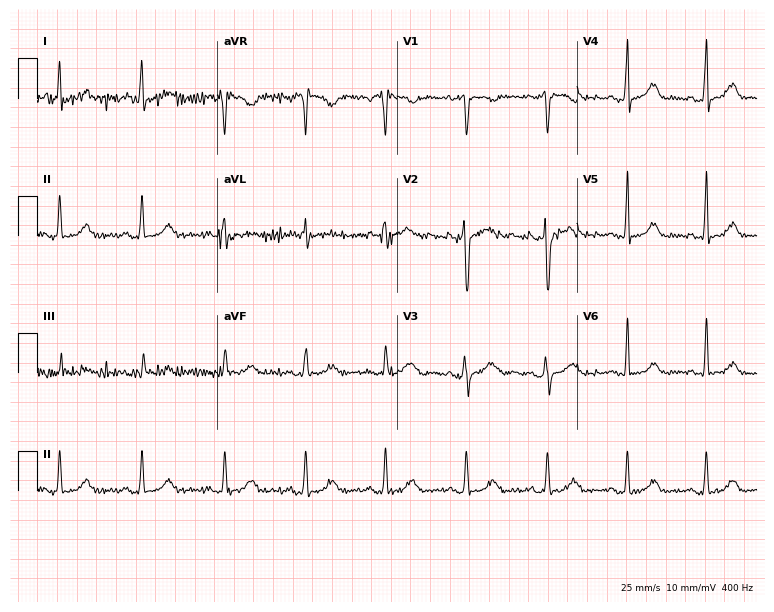
Electrocardiogram, a 31-year-old woman. Of the six screened findings (first-degree AV block, right bundle branch block, left bundle branch block, sinus bradycardia, atrial fibrillation, sinus tachycardia), none is recorded. Only these six findings were labelled.